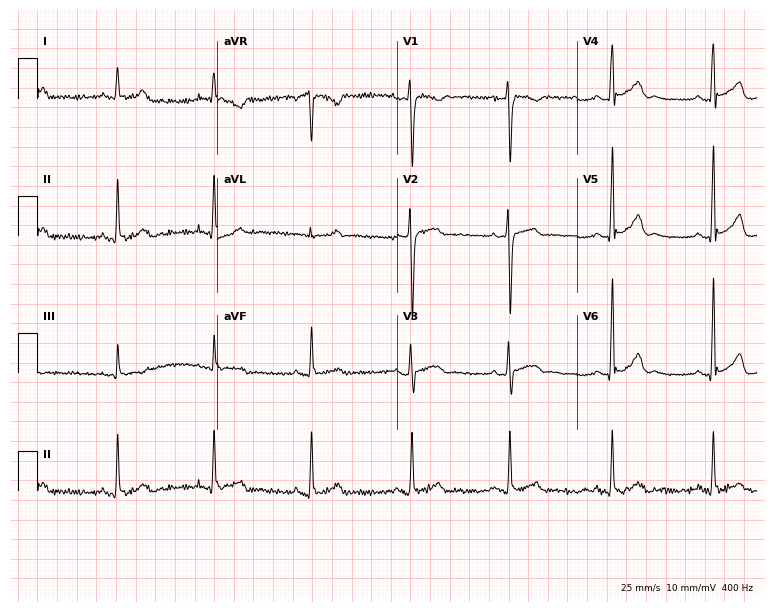
12-lead ECG (7.3-second recording at 400 Hz) from a 24-year-old male. Labelled as a normal ECG.